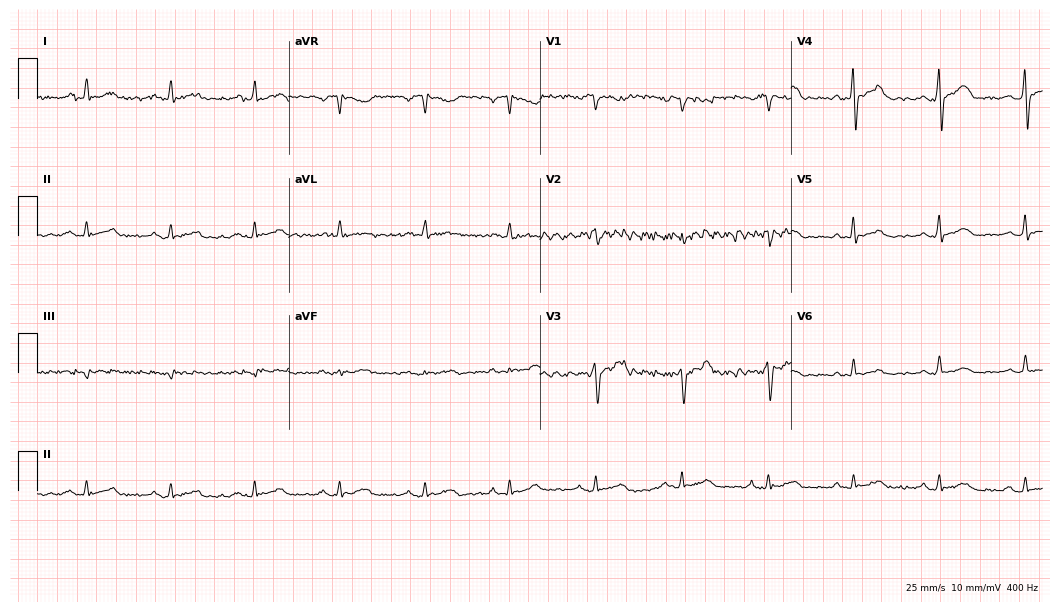
Standard 12-lead ECG recorded from a female, 48 years old. Read as a normal ECG.